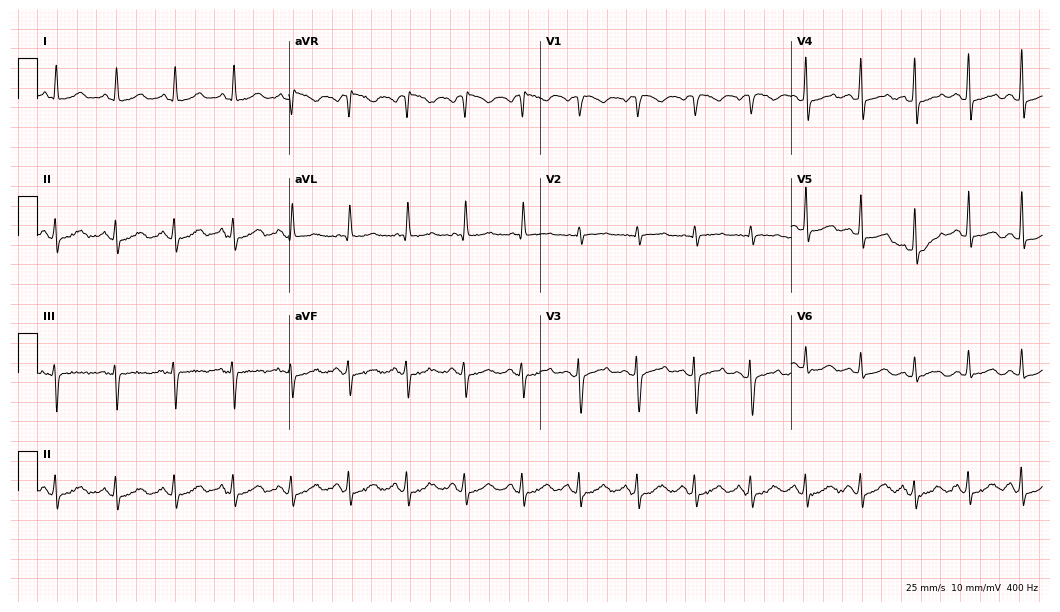
ECG (10.2-second recording at 400 Hz) — a woman, 42 years old. Labelled as a normal ECG.